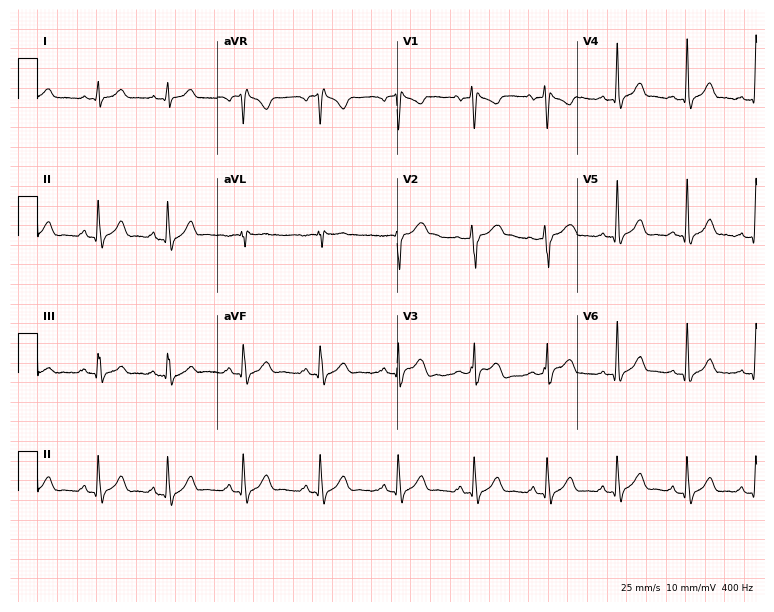
Resting 12-lead electrocardiogram (7.3-second recording at 400 Hz). Patient: a male, 28 years old. None of these six findings is recorded: first-degree AV block, right bundle branch block, left bundle branch block, sinus bradycardia, atrial fibrillation, sinus tachycardia. Only these six findings were labelled.